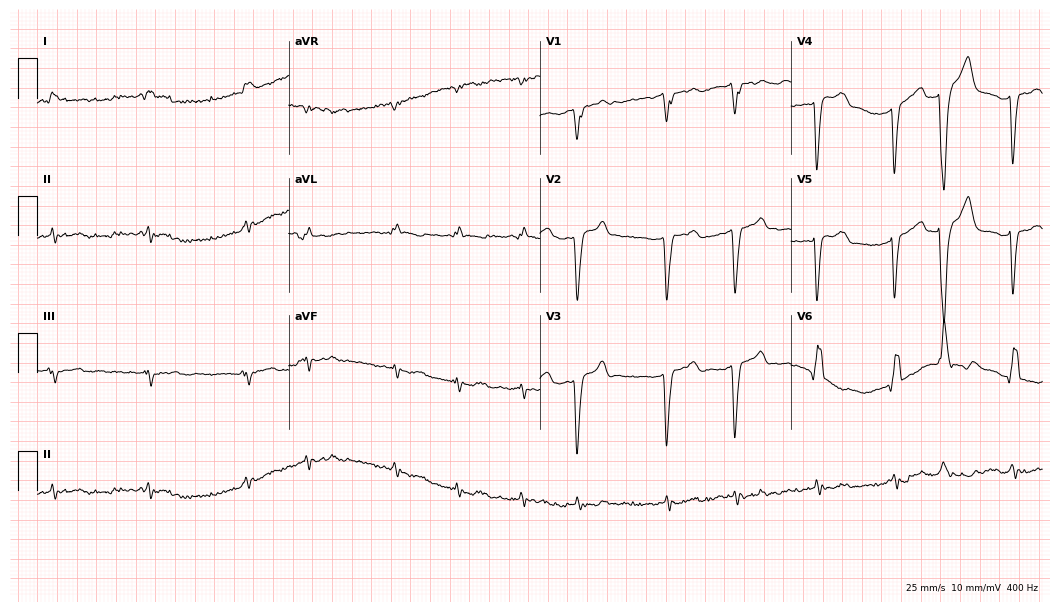
ECG — a 56-year-old male. Findings include left bundle branch block, atrial fibrillation.